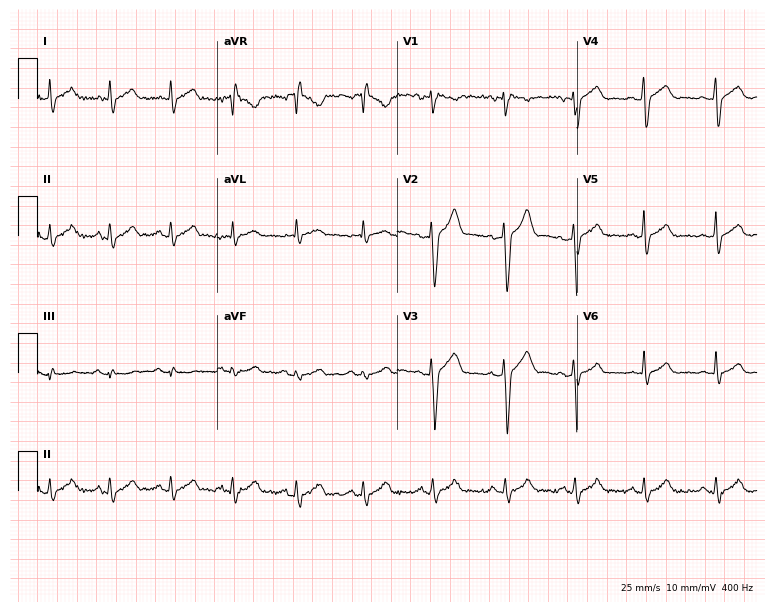
ECG (7.3-second recording at 400 Hz) — a male, 36 years old. Labelled as a normal ECG.